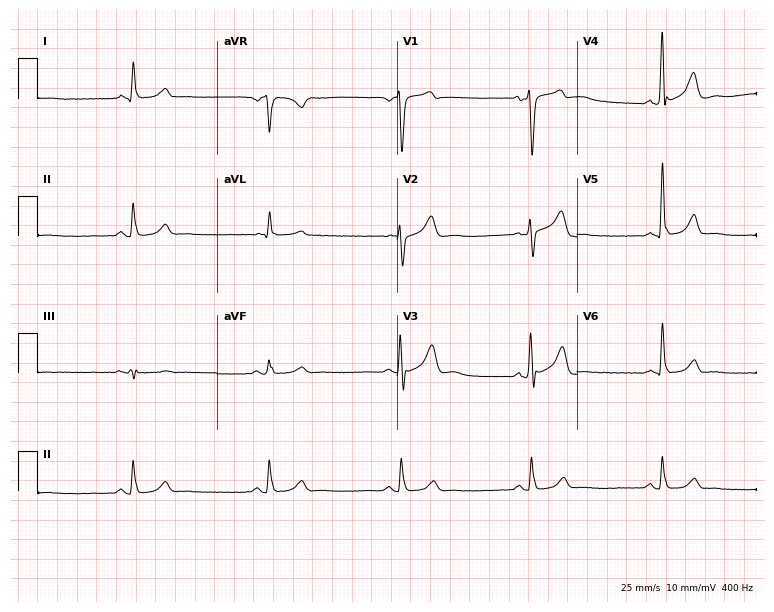
12-lead ECG from a man, 56 years old. No first-degree AV block, right bundle branch block, left bundle branch block, sinus bradycardia, atrial fibrillation or sinus tachycardia recorded for this tracing. Only these six findings were labelled.